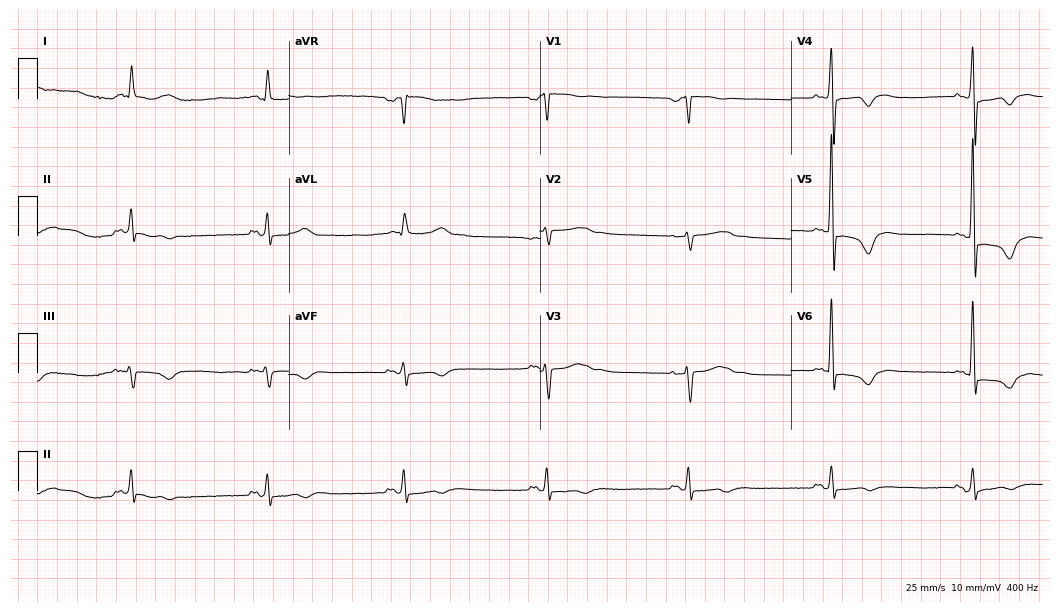
Standard 12-lead ECG recorded from a male, 61 years old. None of these six findings is recorded: first-degree AV block, right bundle branch block, left bundle branch block, sinus bradycardia, atrial fibrillation, sinus tachycardia. Findings outside these six are not listed.